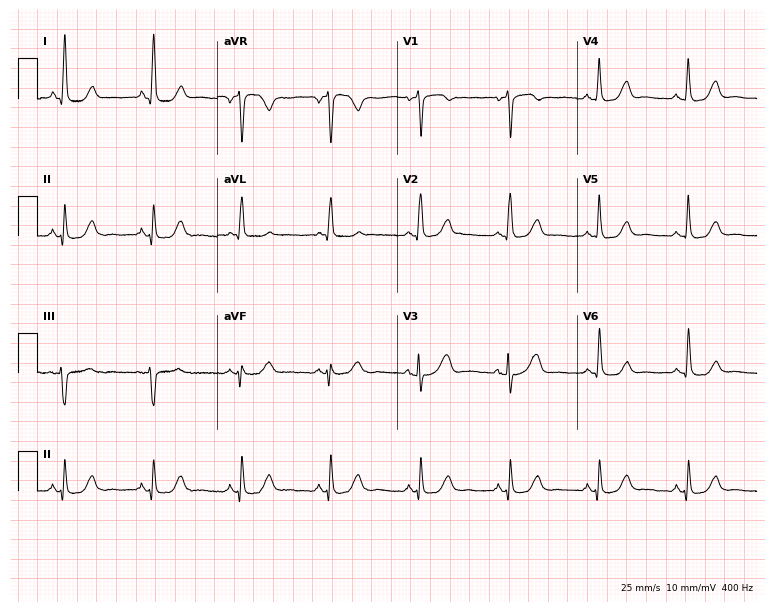
12-lead ECG from an 85-year-old woman. Labelled as a normal ECG.